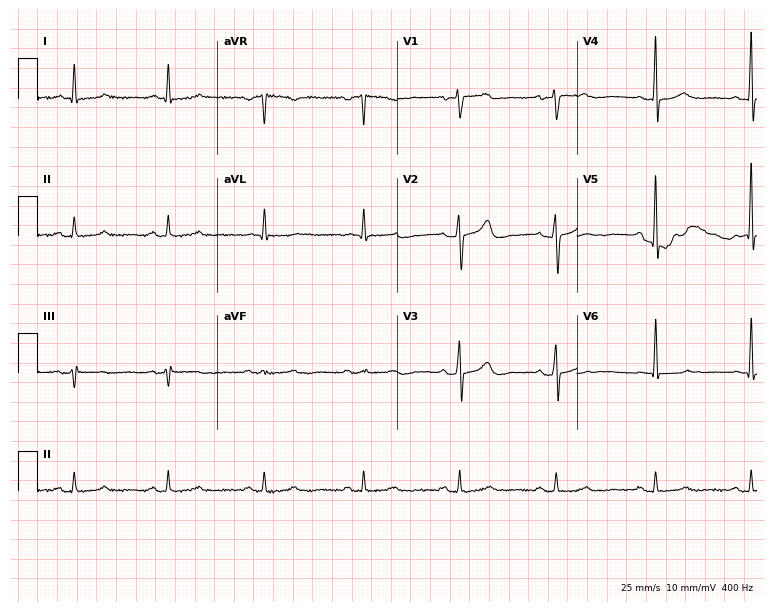
12-lead ECG (7.3-second recording at 400 Hz) from a 65-year-old male. Screened for six findings — first-degree AV block, right bundle branch block, left bundle branch block, sinus bradycardia, atrial fibrillation, sinus tachycardia — none is recorded.